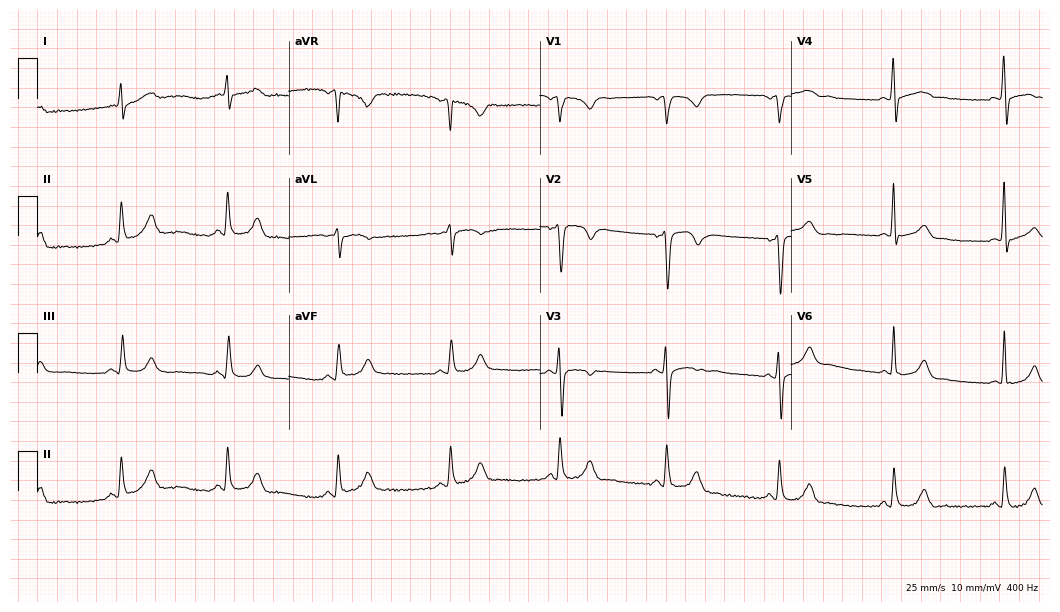
Electrocardiogram (10.2-second recording at 400 Hz), a man, 52 years old. Overall reading on record: normal ECG.